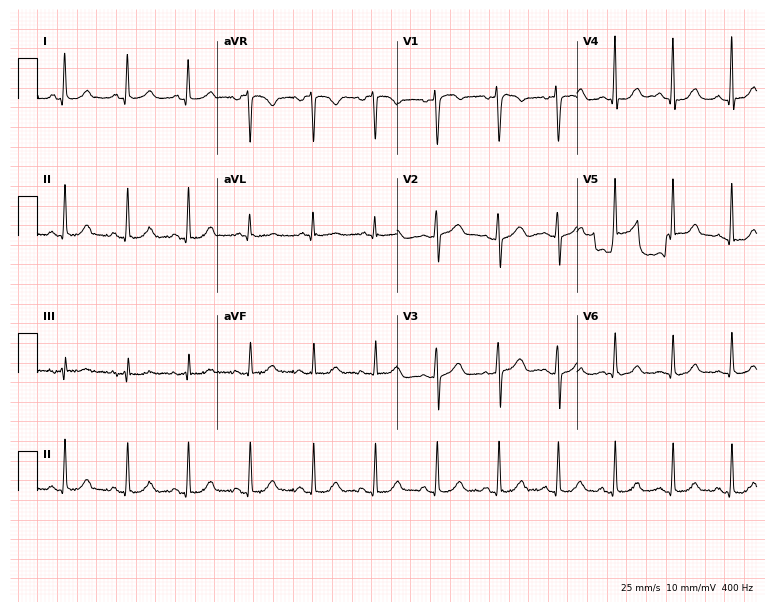
ECG (7.3-second recording at 400 Hz) — a female, 34 years old. Screened for six findings — first-degree AV block, right bundle branch block (RBBB), left bundle branch block (LBBB), sinus bradycardia, atrial fibrillation (AF), sinus tachycardia — none is recorded.